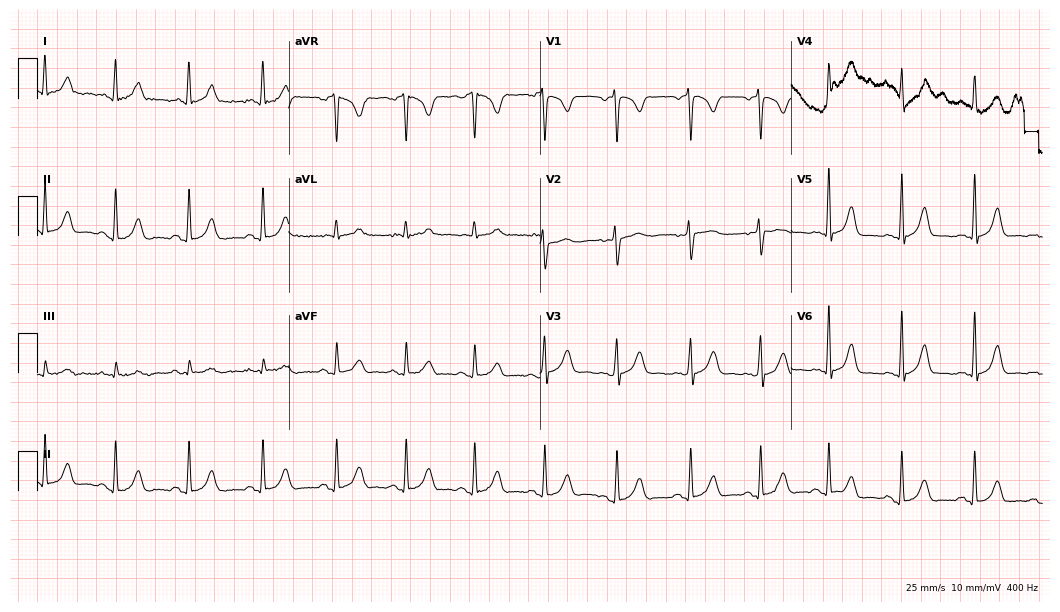
12-lead ECG from a female, 30 years old (10.2-second recording at 400 Hz). Recorded interpretation: within normal limits.